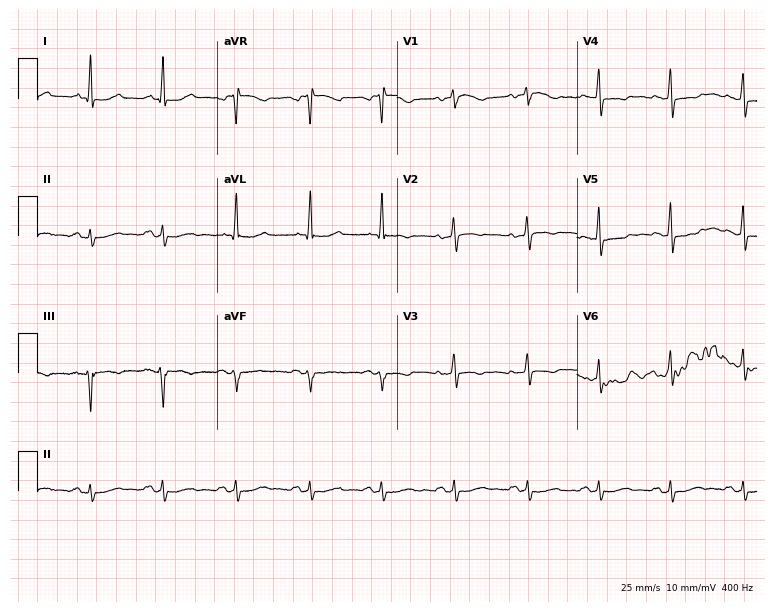
Electrocardiogram (7.3-second recording at 400 Hz), a 63-year-old female patient. Of the six screened findings (first-degree AV block, right bundle branch block (RBBB), left bundle branch block (LBBB), sinus bradycardia, atrial fibrillation (AF), sinus tachycardia), none is recorded. Other findings, if any, are not listed.